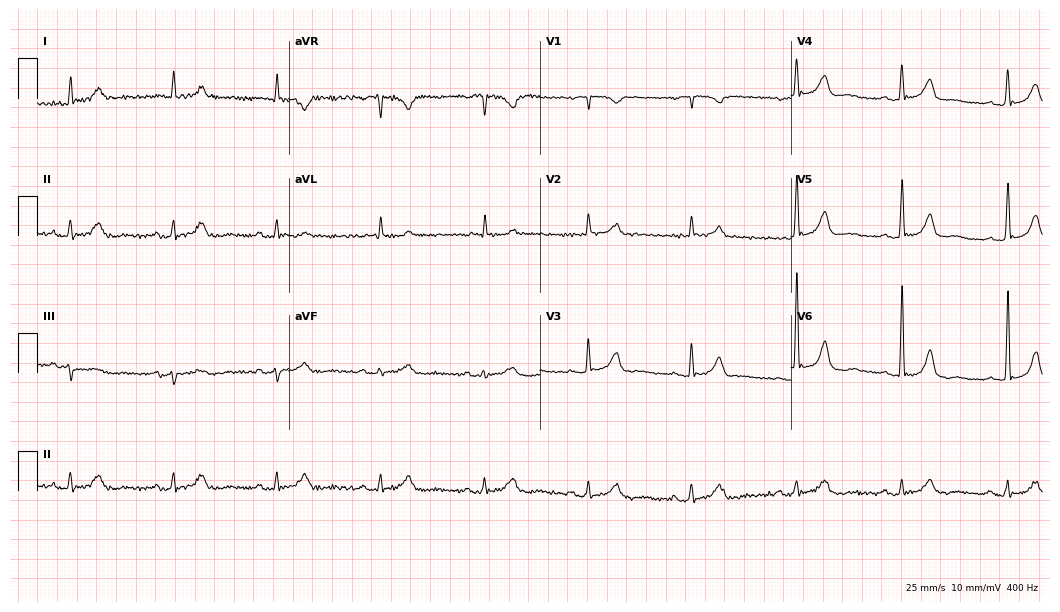
Electrocardiogram, an 80-year-old male patient. Overall reading on record: normal ECG.